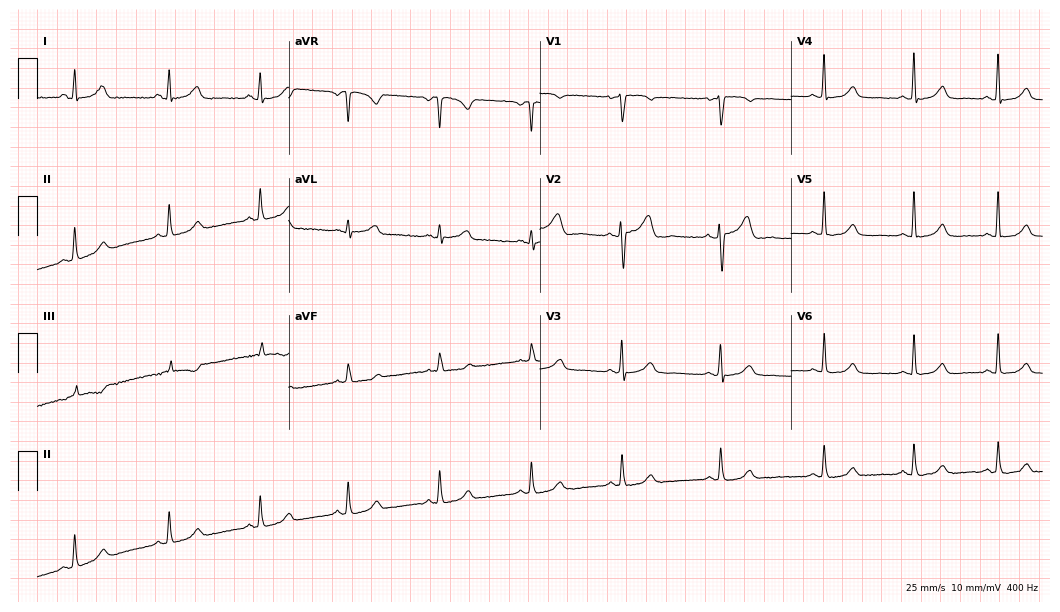
Electrocardiogram (10.2-second recording at 400 Hz), a 44-year-old female. Overall reading on record: normal ECG.